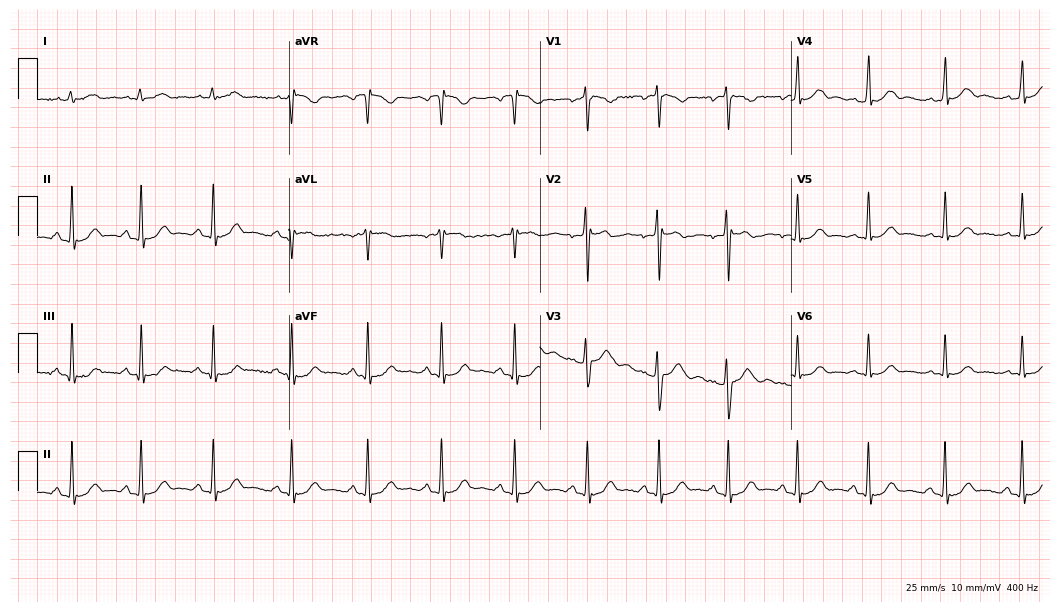
Resting 12-lead electrocardiogram. Patient: a 29-year-old male. Read as a normal ECG.